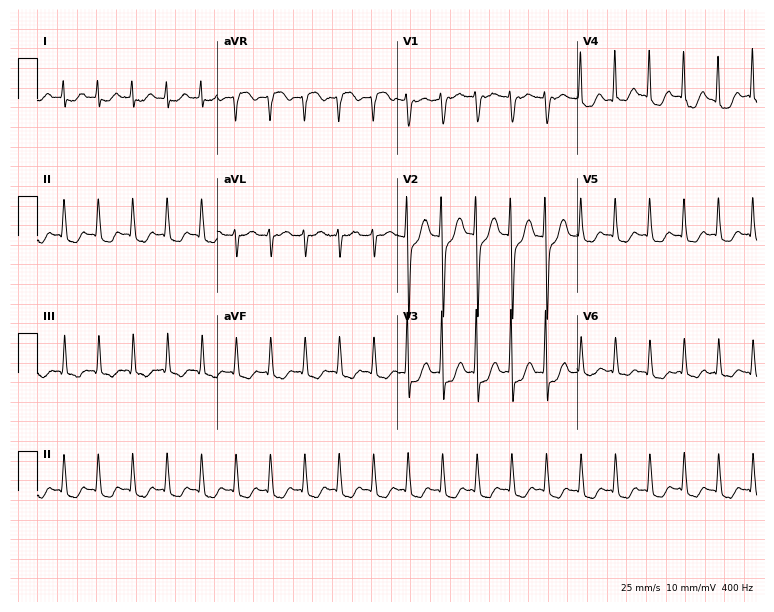
Standard 12-lead ECG recorded from a female patient, 56 years old (7.3-second recording at 400 Hz). The tracing shows sinus tachycardia (a sinus rate of 100 beats per minute or more).